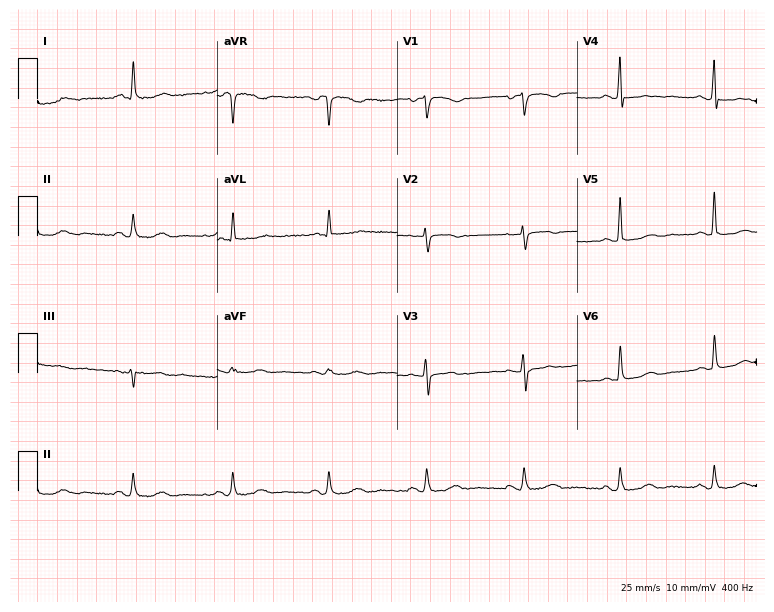
Electrocardiogram (7.3-second recording at 400 Hz), a 63-year-old female. Of the six screened findings (first-degree AV block, right bundle branch block, left bundle branch block, sinus bradycardia, atrial fibrillation, sinus tachycardia), none is recorded.